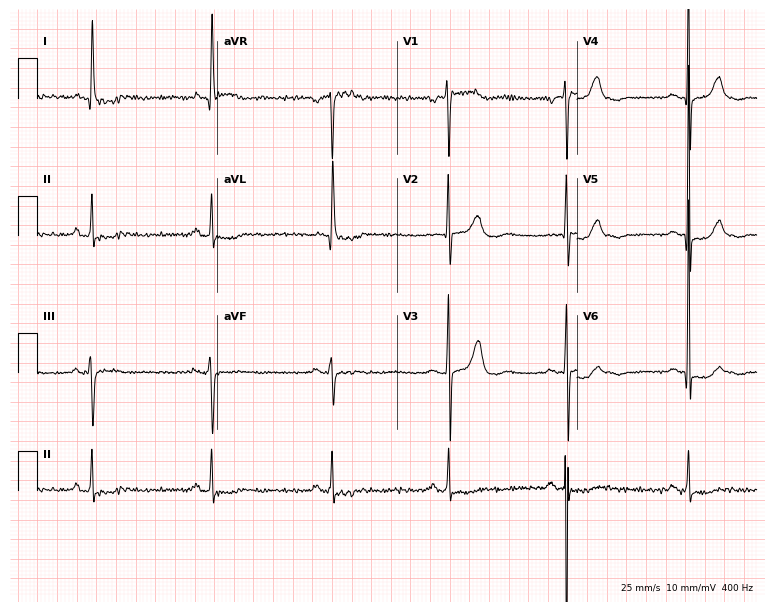
ECG (7.3-second recording at 400 Hz) — an 82-year-old female patient. Findings include sinus bradycardia (a sinus rate of 50 beats per minute or less).